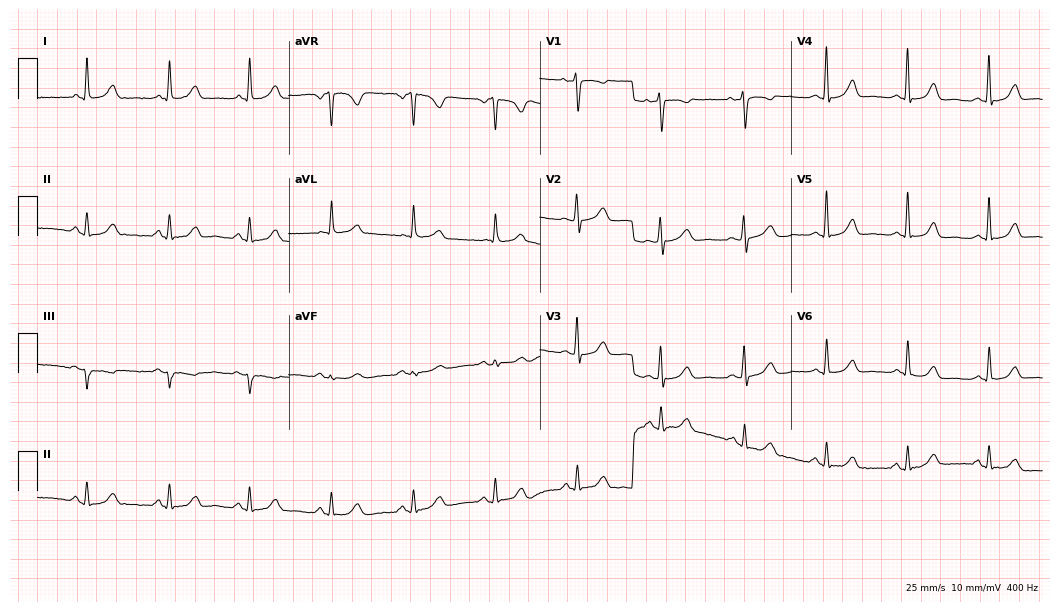
12-lead ECG from a 45-year-old female patient. Screened for six findings — first-degree AV block, right bundle branch block, left bundle branch block, sinus bradycardia, atrial fibrillation, sinus tachycardia — none is recorded. Other findings, if any, are not listed.